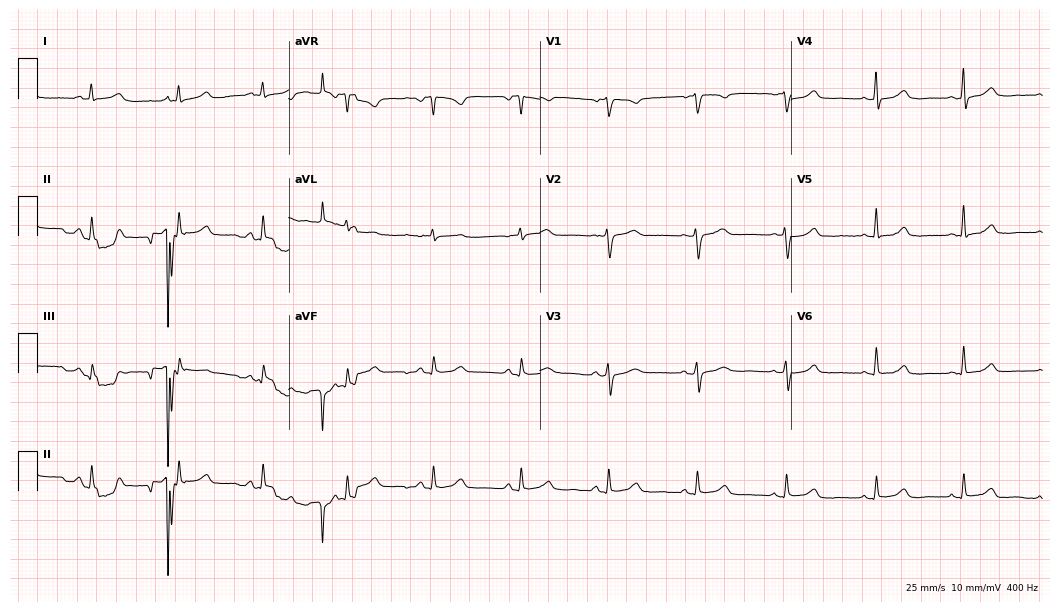
12-lead ECG from a female patient, 57 years old (10.2-second recording at 400 Hz). Recorded interpretation: within normal limits.